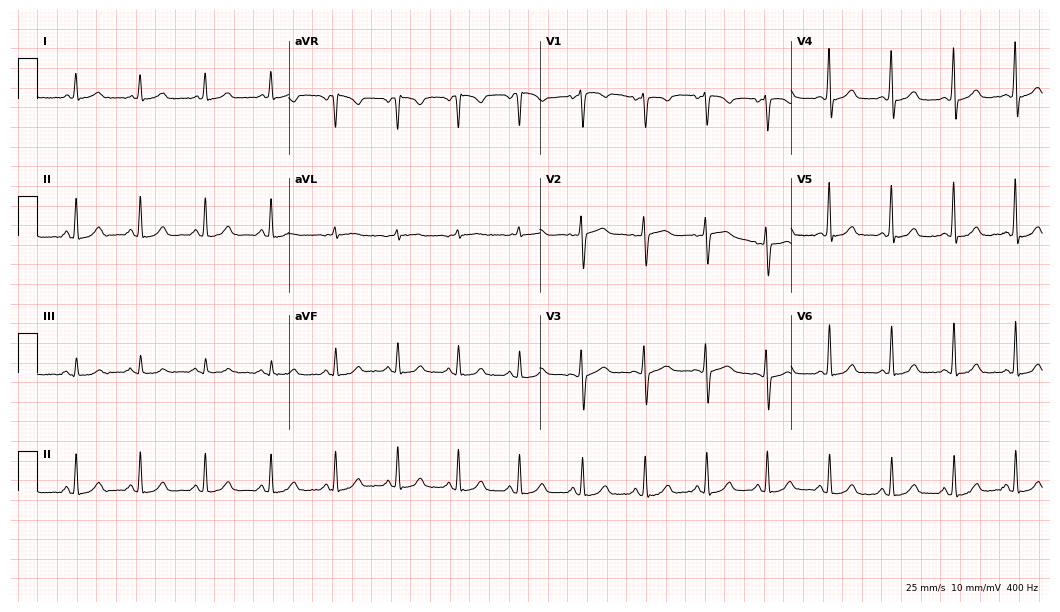
Electrocardiogram (10.2-second recording at 400 Hz), a female patient, 60 years old. Overall reading on record: normal ECG.